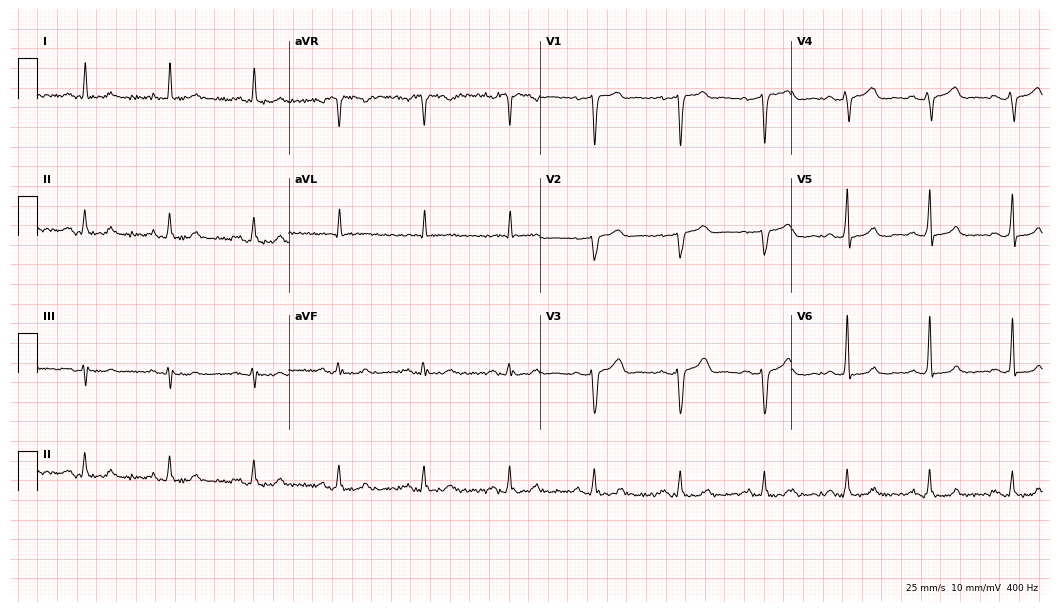
Electrocardiogram (10.2-second recording at 400 Hz), a male, 55 years old. Overall reading on record: normal ECG.